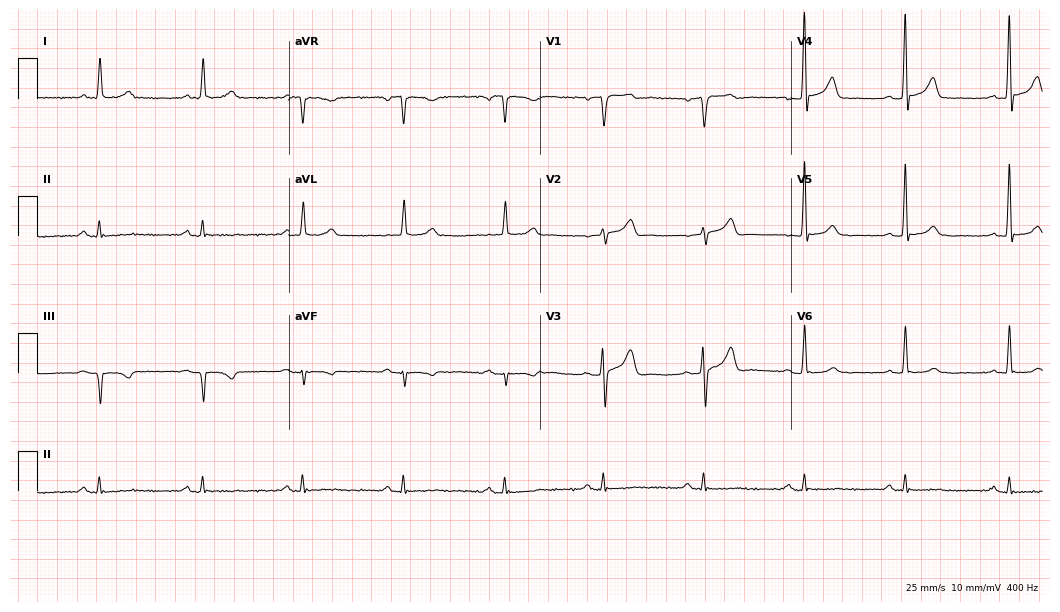
12-lead ECG (10.2-second recording at 400 Hz) from a man, 76 years old. Screened for six findings — first-degree AV block, right bundle branch block, left bundle branch block, sinus bradycardia, atrial fibrillation, sinus tachycardia — none is recorded. Only these six findings were labelled.